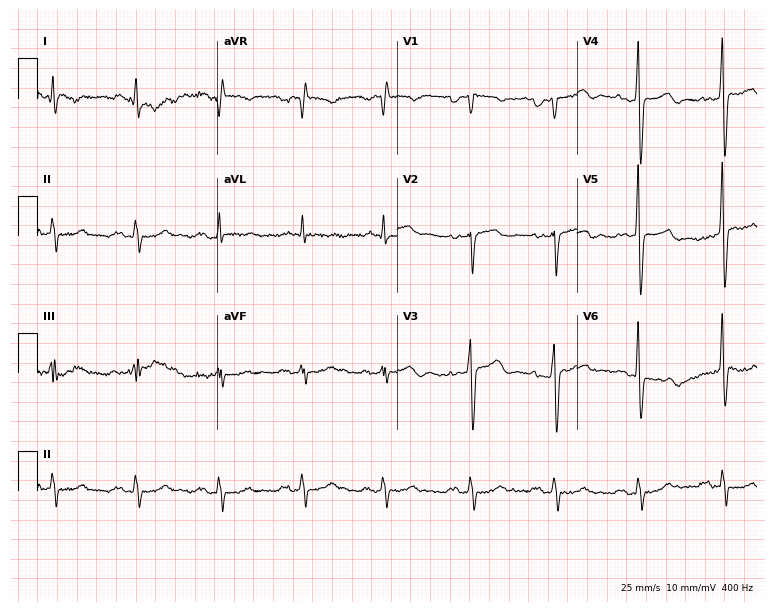
12-lead ECG from a man, 75 years old. Shows first-degree AV block.